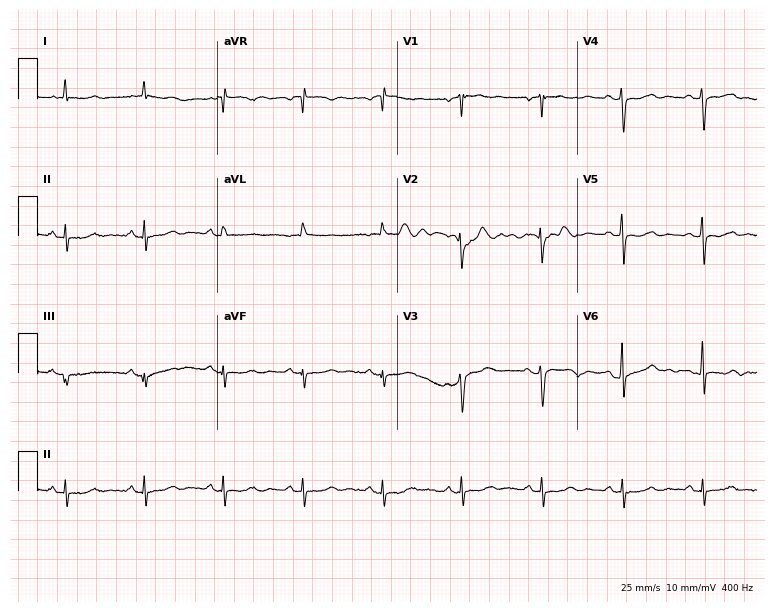
12-lead ECG from a female, 81 years old. No first-degree AV block, right bundle branch block, left bundle branch block, sinus bradycardia, atrial fibrillation or sinus tachycardia recorded for this tracing. Other findings, if any, are not listed.